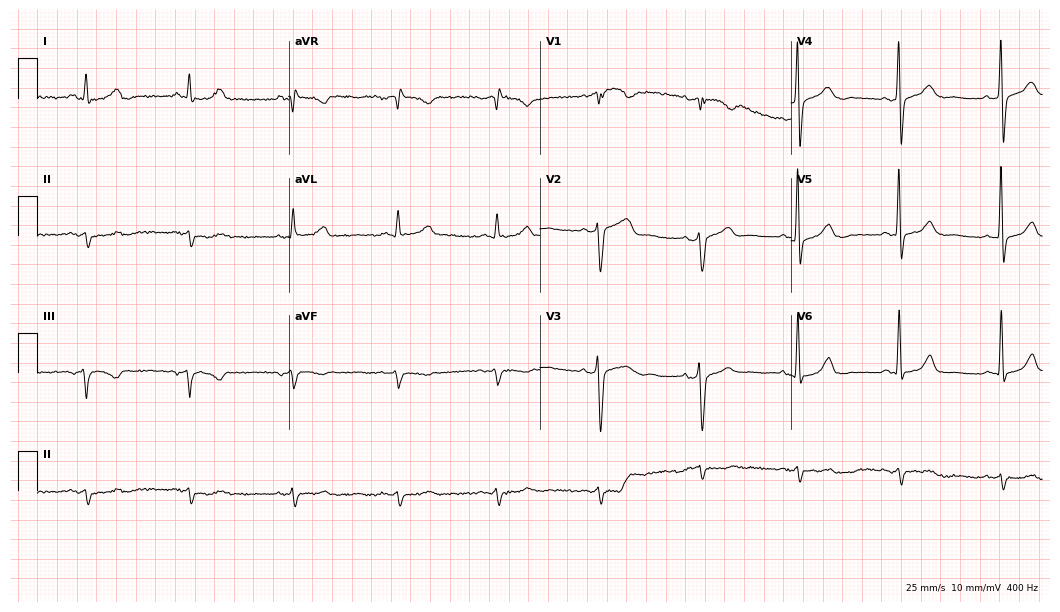
12-lead ECG from a 64-year-old man (10.2-second recording at 400 Hz). No first-degree AV block, right bundle branch block, left bundle branch block, sinus bradycardia, atrial fibrillation or sinus tachycardia recorded for this tracing.